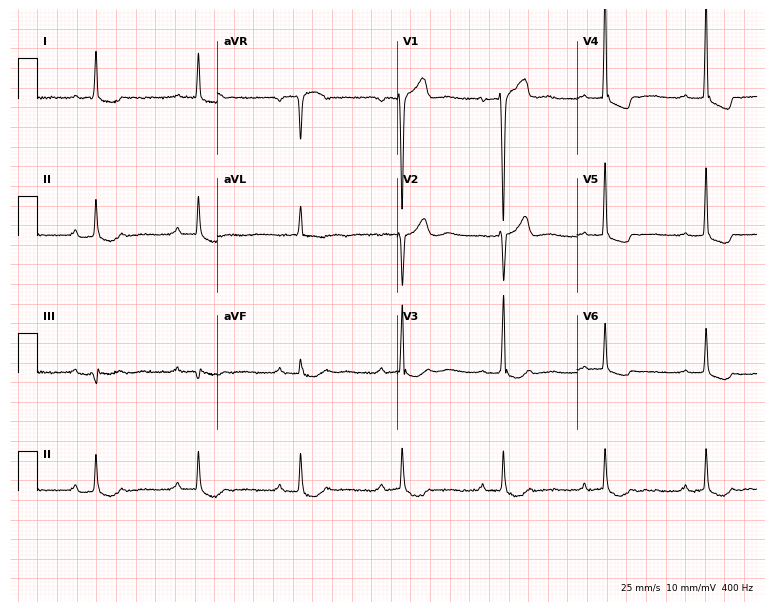
12-lead ECG from a female, 80 years old (7.3-second recording at 400 Hz). No first-degree AV block, right bundle branch block, left bundle branch block, sinus bradycardia, atrial fibrillation or sinus tachycardia recorded for this tracing. Other findings, if any, are not listed.